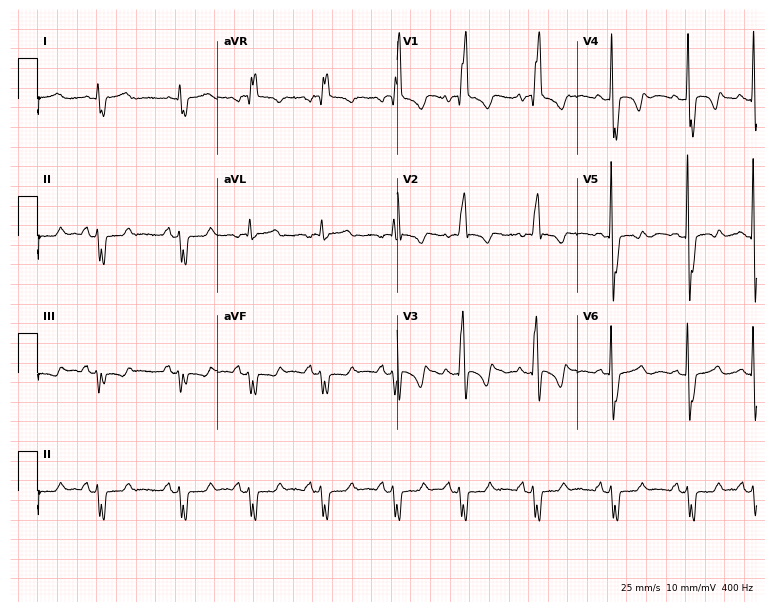
12-lead ECG from a female, 69 years old. Findings include right bundle branch block.